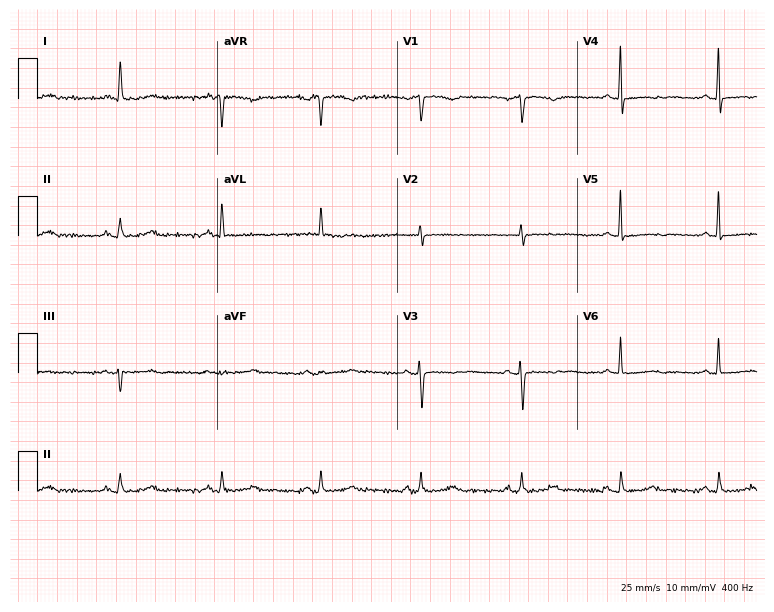
ECG — a female, 82 years old. Screened for six findings — first-degree AV block, right bundle branch block (RBBB), left bundle branch block (LBBB), sinus bradycardia, atrial fibrillation (AF), sinus tachycardia — none is recorded.